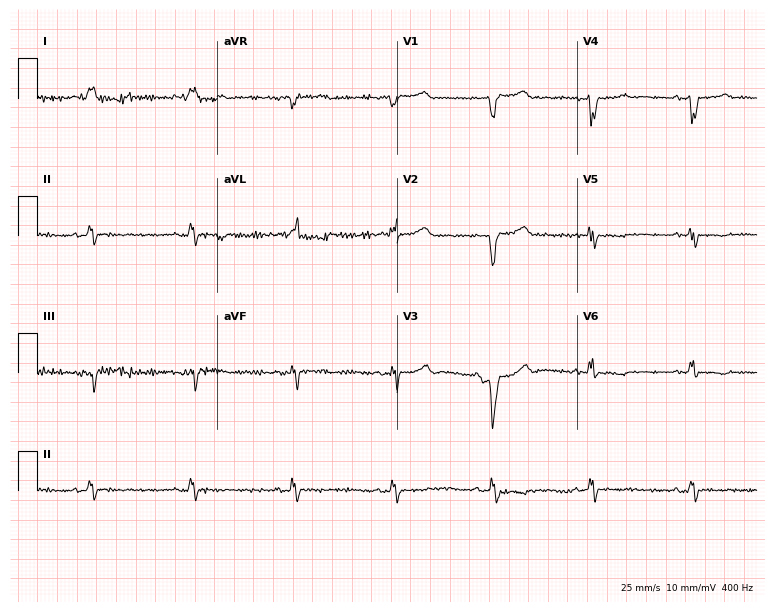
12-lead ECG from an 83-year-old woman (7.3-second recording at 400 Hz). No first-degree AV block, right bundle branch block (RBBB), left bundle branch block (LBBB), sinus bradycardia, atrial fibrillation (AF) or sinus tachycardia recorded for this tracing.